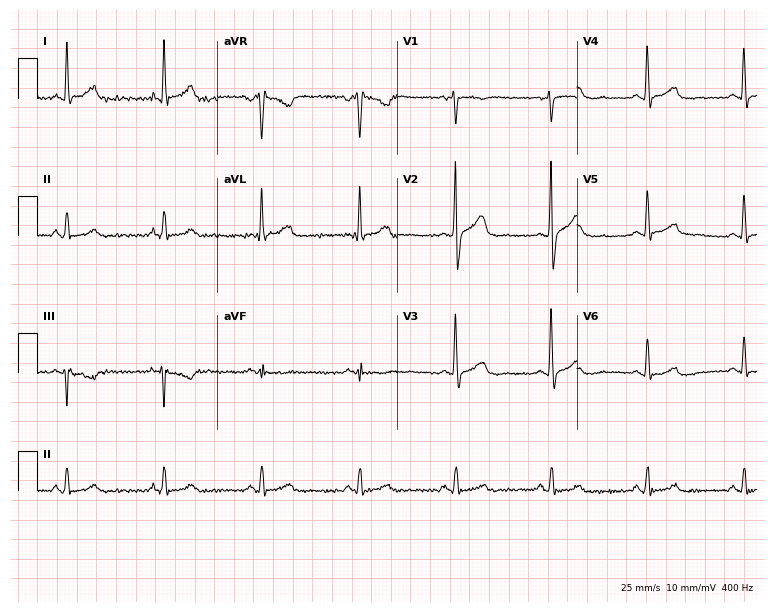
ECG — a 68-year-old male. Labelled as a normal ECG.